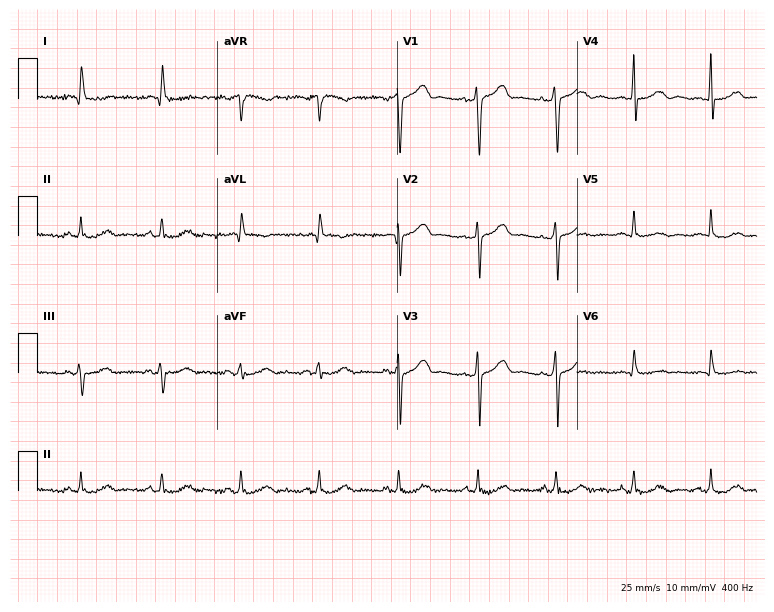
12-lead ECG from a 59-year-old female. No first-degree AV block, right bundle branch block (RBBB), left bundle branch block (LBBB), sinus bradycardia, atrial fibrillation (AF) or sinus tachycardia recorded for this tracing. Other findings, if any, are not listed.